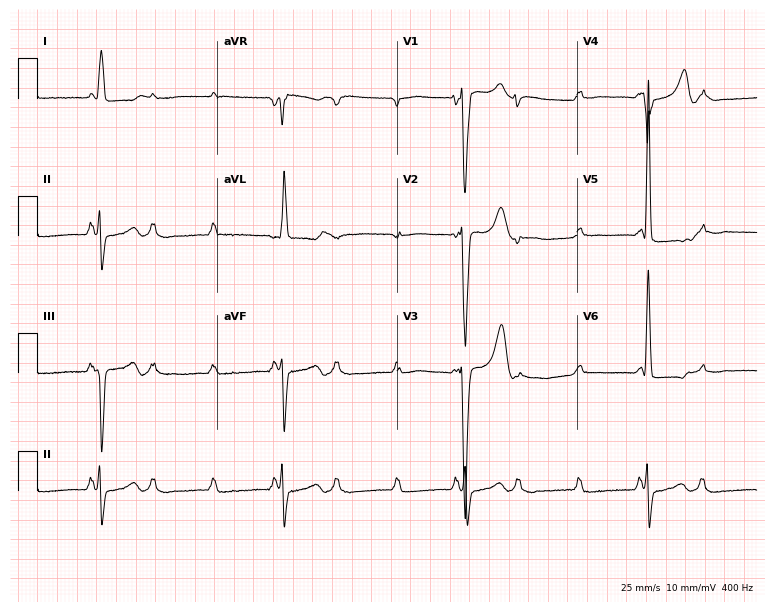
Standard 12-lead ECG recorded from a female, 69 years old. None of these six findings is recorded: first-degree AV block, right bundle branch block, left bundle branch block, sinus bradycardia, atrial fibrillation, sinus tachycardia.